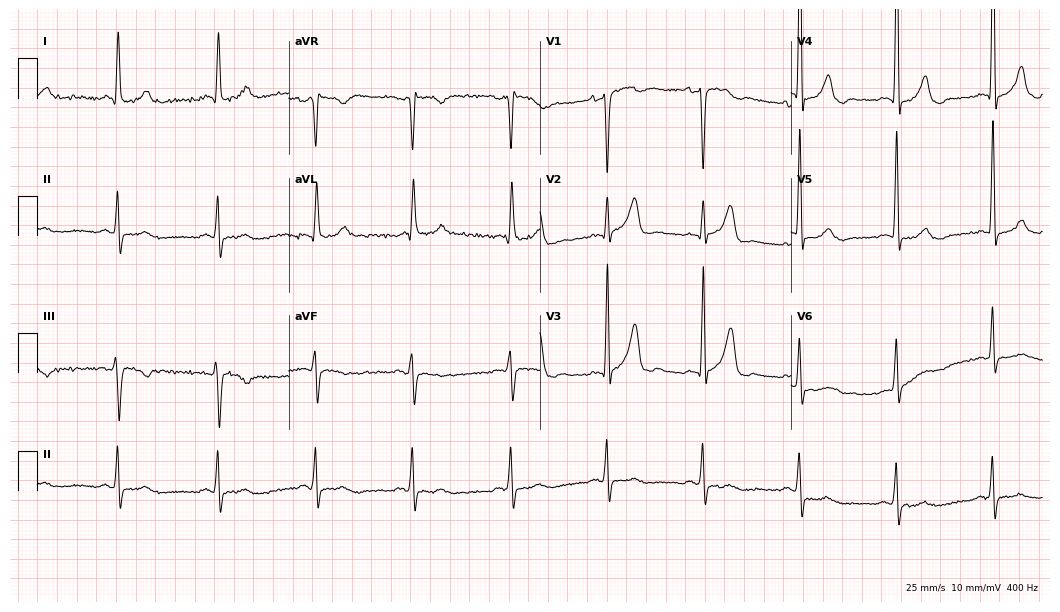
Resting 12-lead electrocardiogram. Patient: a 75-year-old male. None of these six findings is recorded: first-degree AV block, right bundle branch block, left bundle branch block, sinus bradycardia, atrial fibrillation, sinus tachycardia.